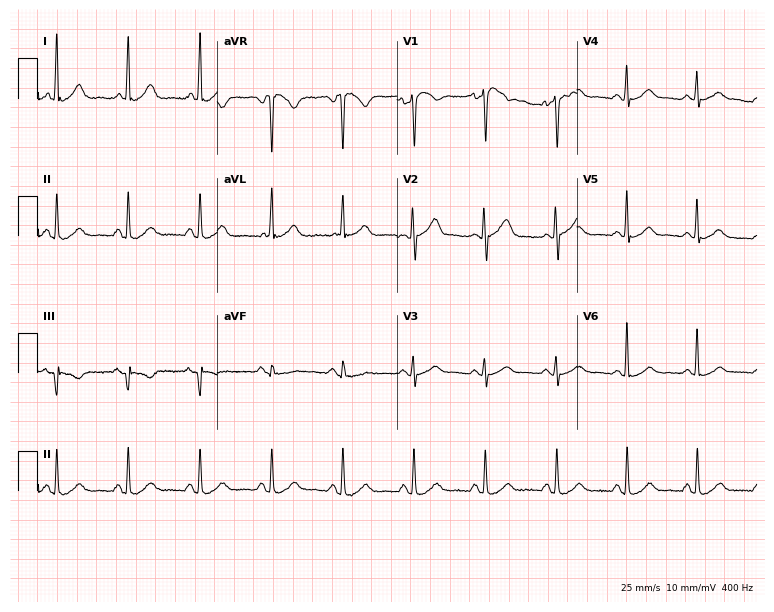
Resting 12-lead electrocardiogram (7.3-second recording at 400 Hz). Patient: a female, 51 years old. Read as a normal ECG.